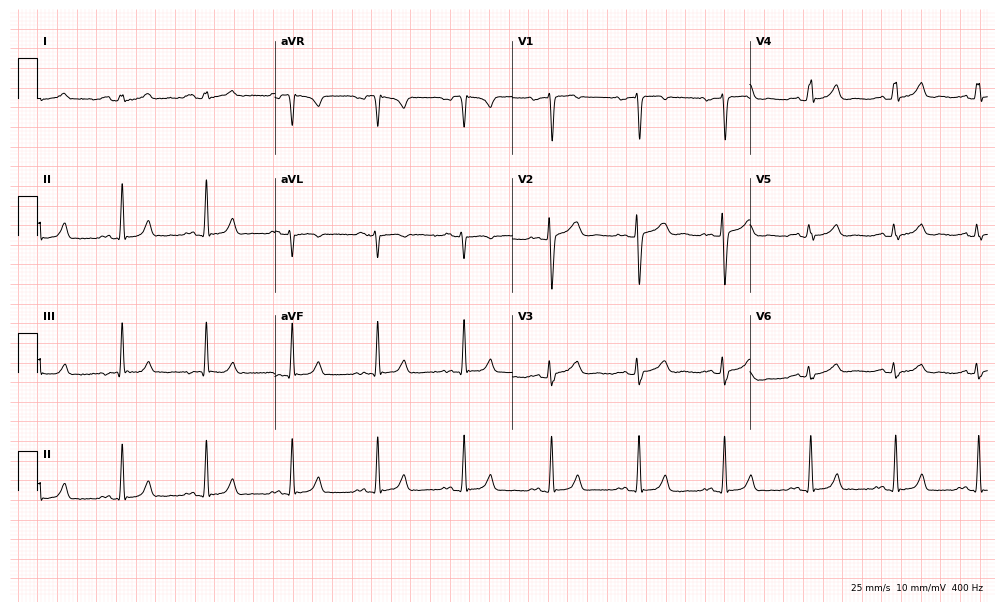
12-lead ECG from a woman, 30 years old (9.7-second recording at 400 Hz). No first-degree AV block, right bundle branch block, left bundle branch block, sinus bradycardia, atrial fibrillation or sinus tachycardia recorded for this tracing. Findings outside these six are not listed.